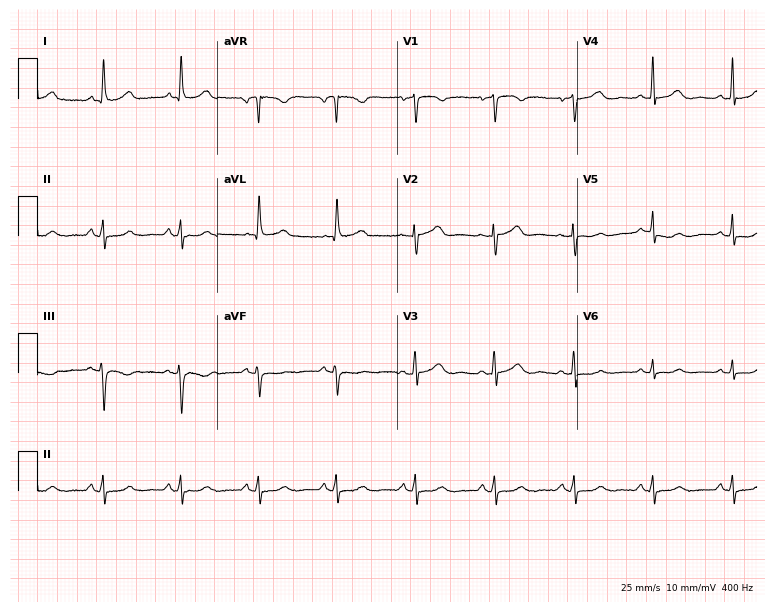
12-lead ECG from a 58-year-old woman (7.3-second recording at 400 Hz). Recorded interpretation: within normal limits.